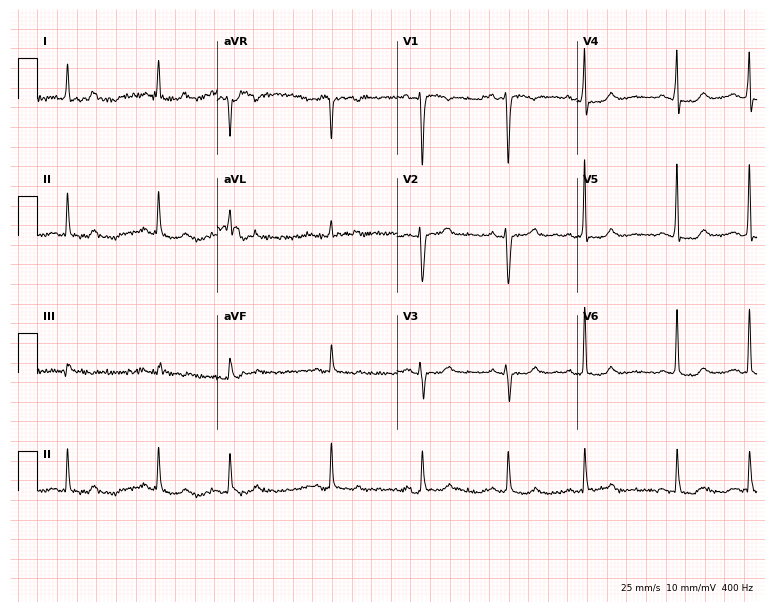
12-lead ECG (7.3-second recording at 400 Hz) from a 78-year-old woman. Screened for six findings — first-degree AV block, right bundle branch block, left bundle branch block, sinus bradycardia, atrial fibrillation, sinus tachycardia — none is recorded. Other findings, if any, are not listed.